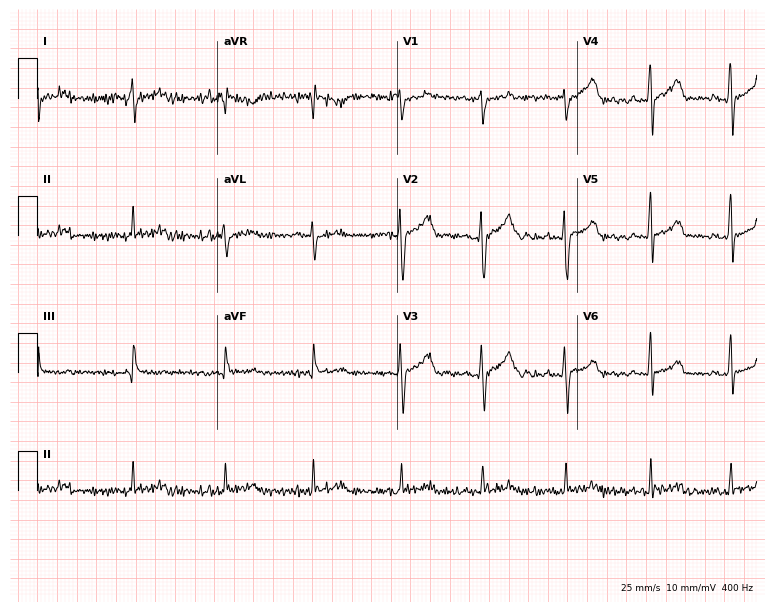
ECG (7.3-second recording at 400 Hz) — a man, 29 years old. Screened for six findings — first-degree AV block, right bundle branch block, left bundle branch block, sinus bradycardia, atrial fibrillation, sinus tachycardia — none is recorded.